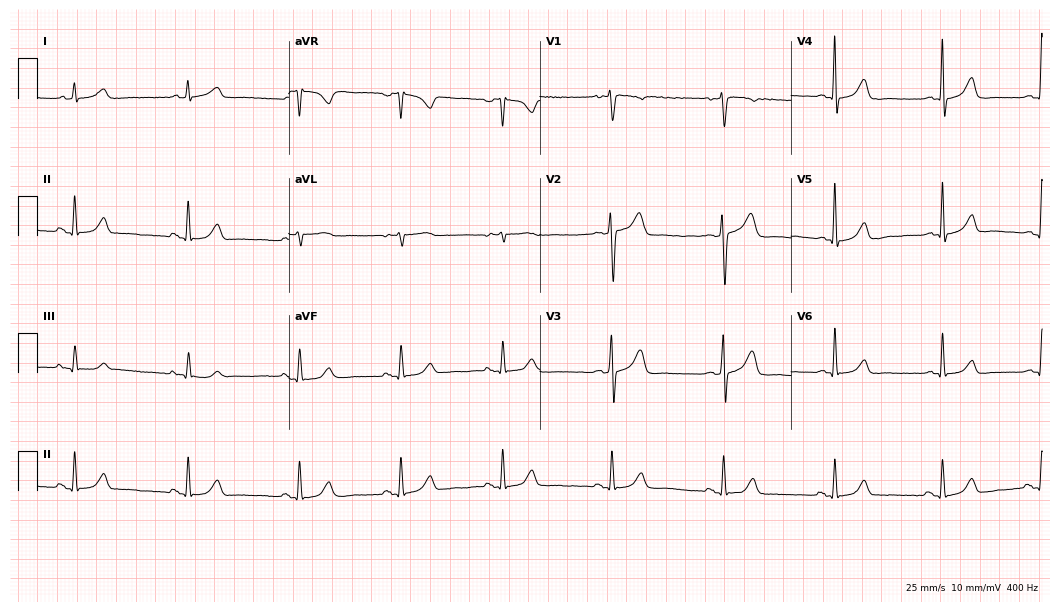
12-lead ECG (10.2-second recording at 400 Hz) from a female, 37 years old. Labelled as a normal ECG.